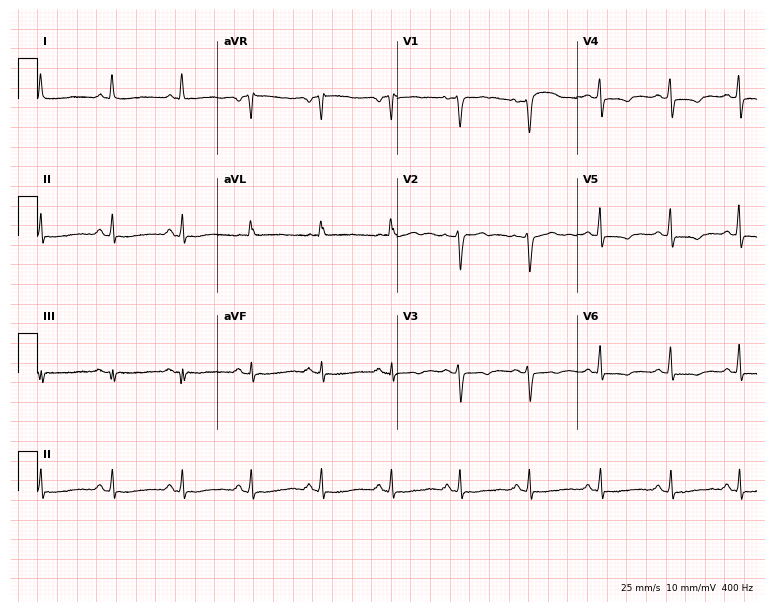
Standard 12-lead ECG recorded from a female patient, 54 years old. None of these six findings is recorded: first-degree AV block, right bundle branch block, left bundle branch block, sinus bradycardia, atrial fibrillation, sinus tachycardia.